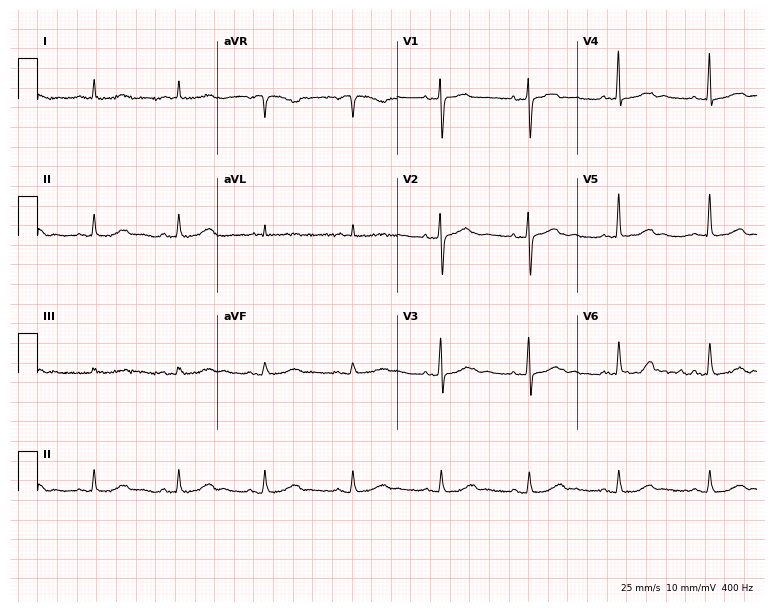
ECG (7.3-second recording at 400 Hz) — a 74-year-old woman. Screened for six findings — first-degree AV block, right bundle branch block (RBBB), left bundle branch block (LBBB), sinus bradycardia, atrial fibrillation (AF), sinus tachycardia — none is recorded. Other findings, if any, are not listed.